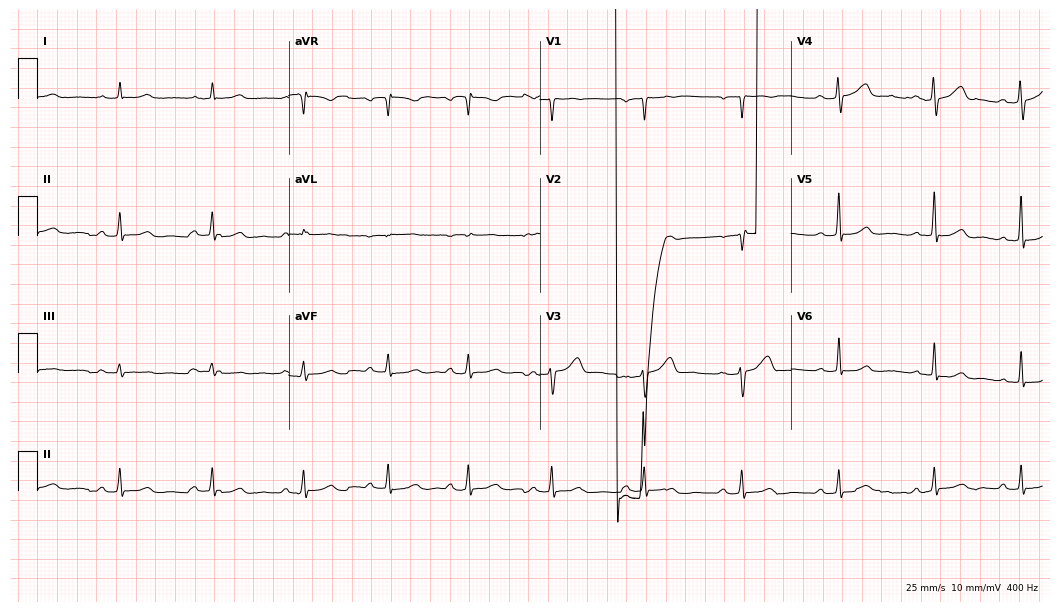
Resting 12-lead electrocardiogram (10.2-second recording at 400 Hz). Patient: a 40-year-old woman. None of these six findings is recorded: first-degree AV block, right bundle branch block (RBBB), left bundle branch block (LBBB), sinus bradycardia, atrial fibrillation (AF), sinus tachycardia. Only these six findings were labelled.